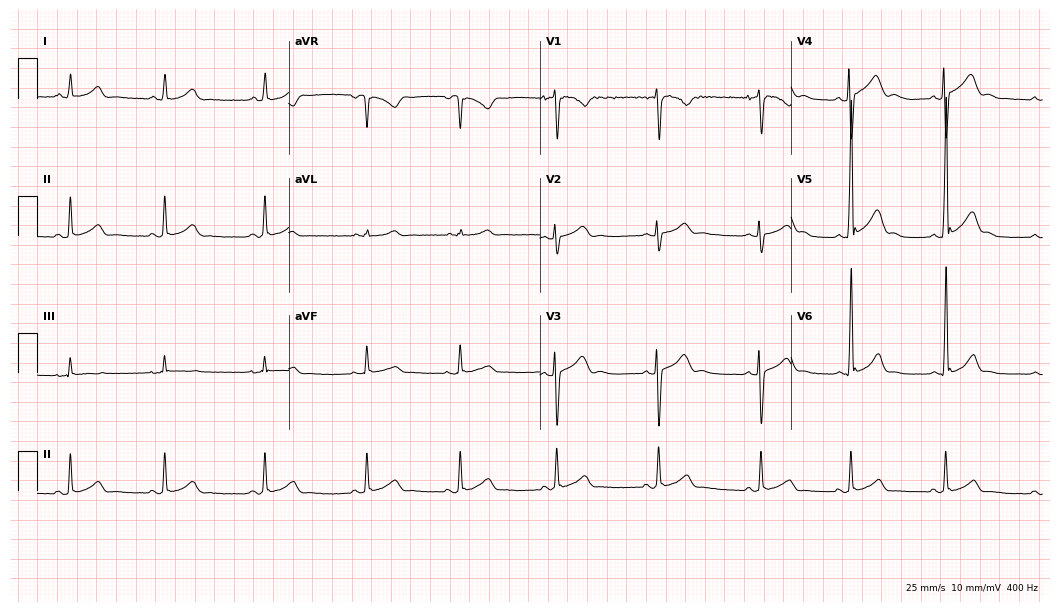
Standard 12-lead ECG recorded from a 17-year-old man (10.2-second recording at 400 Hz). Read as a normal ECG.